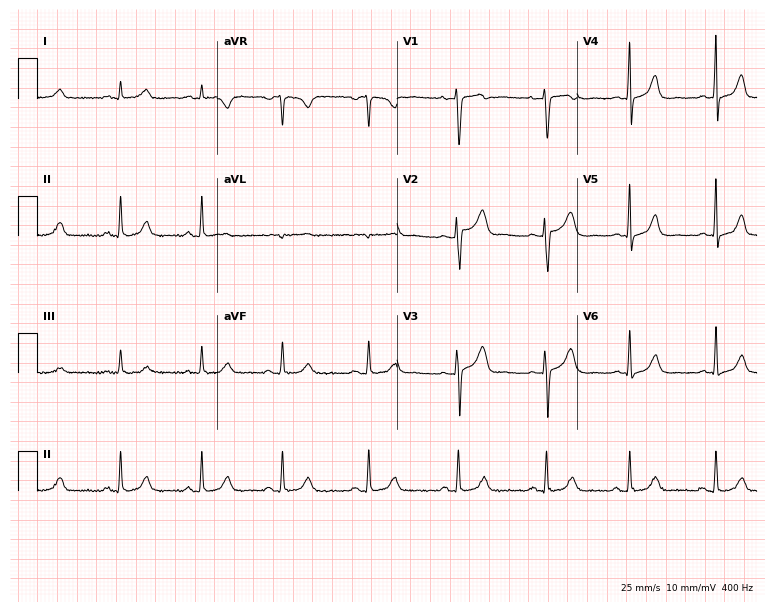
Resting 12-lead electrocardiogram. Patient: a female, 34 years old. None of these six findings is recorded: first-degree AV block, right bundle branch block, left bundle branch block, sinus bradycardia, atrial fibrillation, sinus tachycardia. Findings outside these six are not listed.